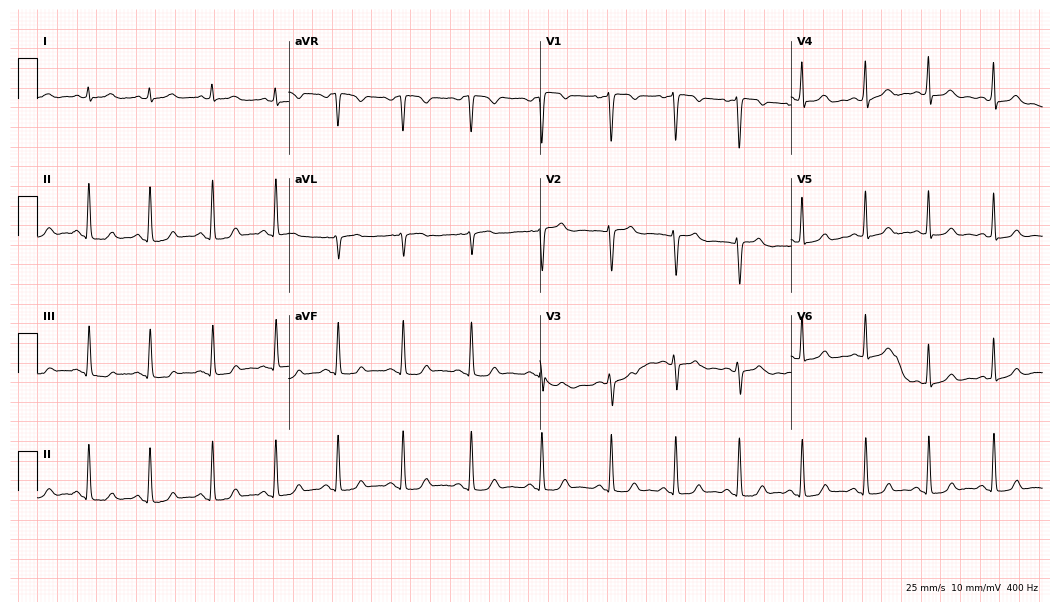
Resting 12-lead electrocardiogram (10.2-second recording at 400 Hz). Patient: a female, 29 years old. Read as a normal ECG.